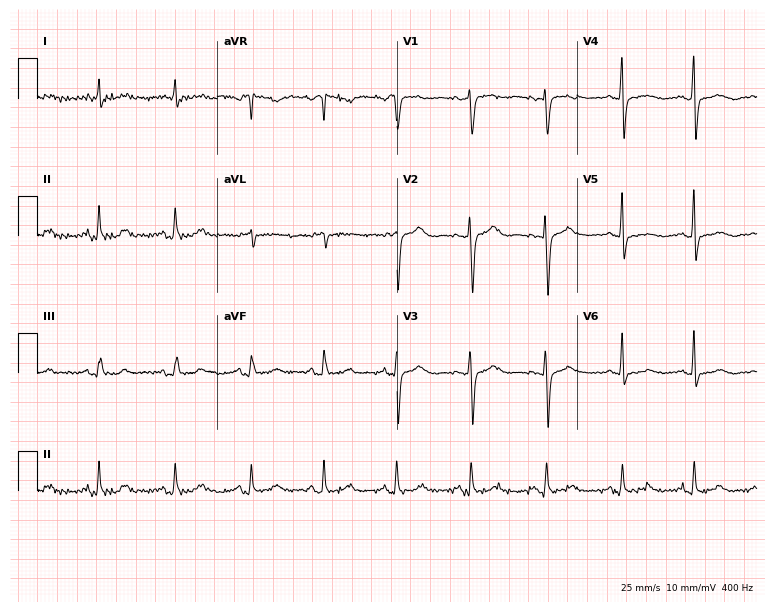
ECG — a female patient, 68 years old. Labelled as a normal ECG.